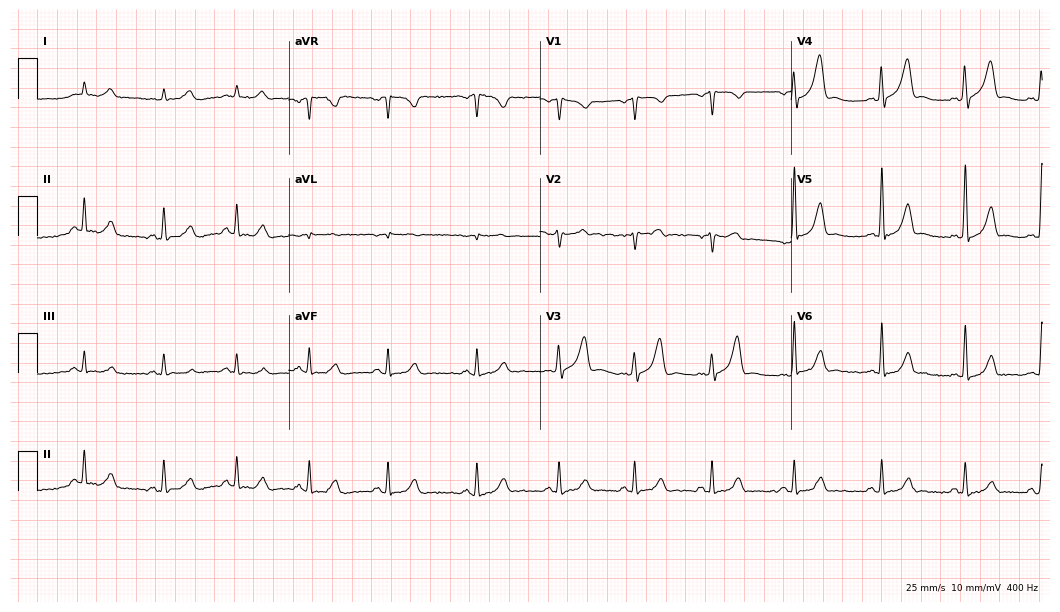
Resting 12-lead electrocardiogram (10.2-second recording at 400 Hz). Patient: a man, 47 years old. Read as a normal ECG.